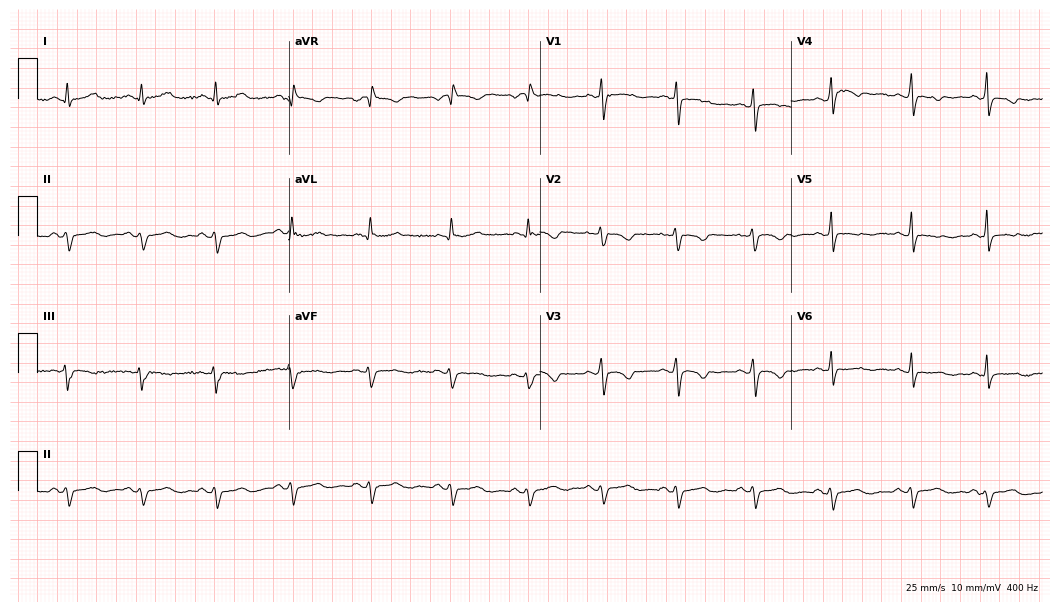
Resting 12-lead electrocardiogram. Patient: a 55-year-old female. None of these six findings is recorded: first-degree AV block, right bundle branch block, left bundle branch block, sinus bradycardia, atrial fibrillation, sinus tachycardia.